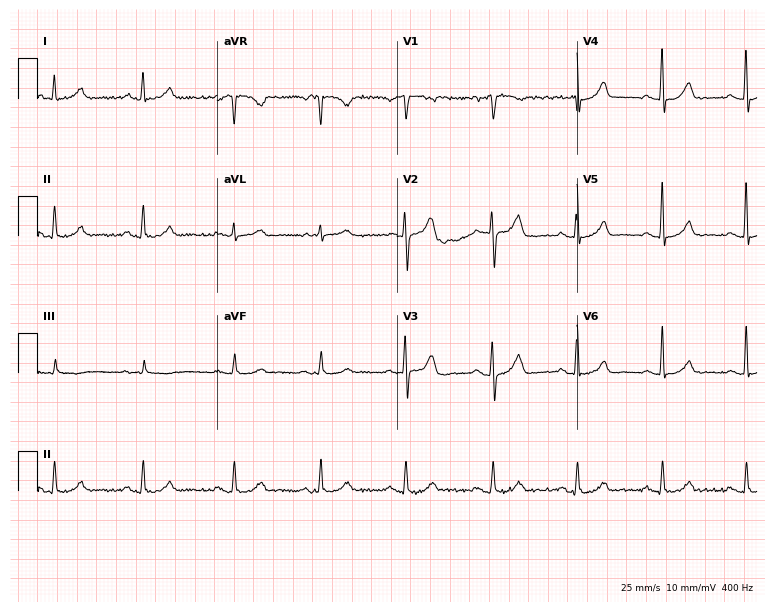
Standard 12-lead ECG recorded from a 54-year-old male. Read as a normal ECG.